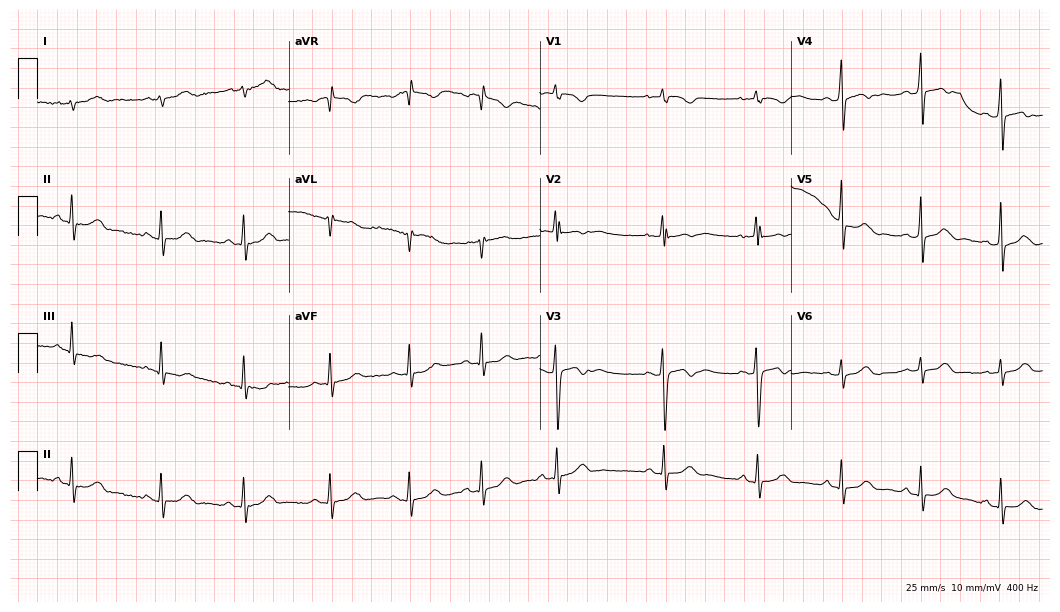
12-lead ECG from a female patient, 17 years old. Recorded interpretation: within normal limits.